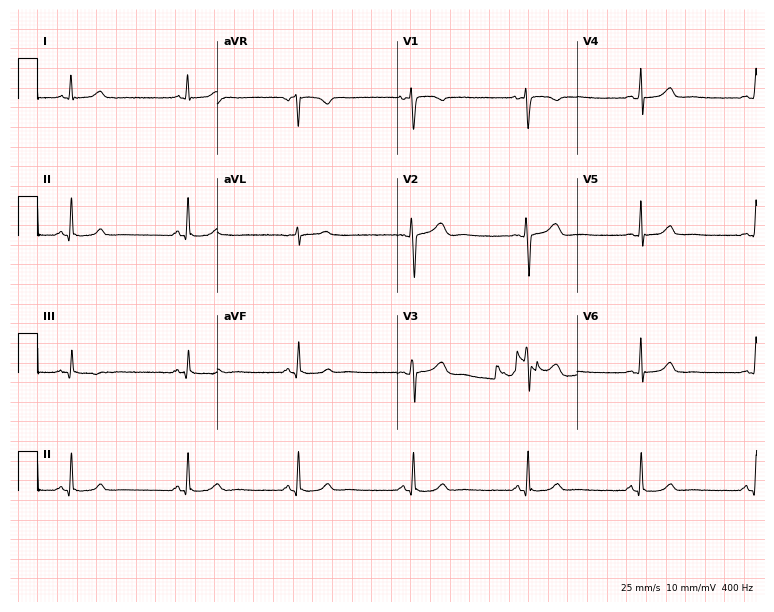
Resting 12-lead electrocardiogram. Patient: a 44-year-old woman. None of these six findings is recorded: first-degree AV block, right bundle branch block, left bundle branch block, sinus bradycardia, atrial fibrillation, sinus tachycardia.